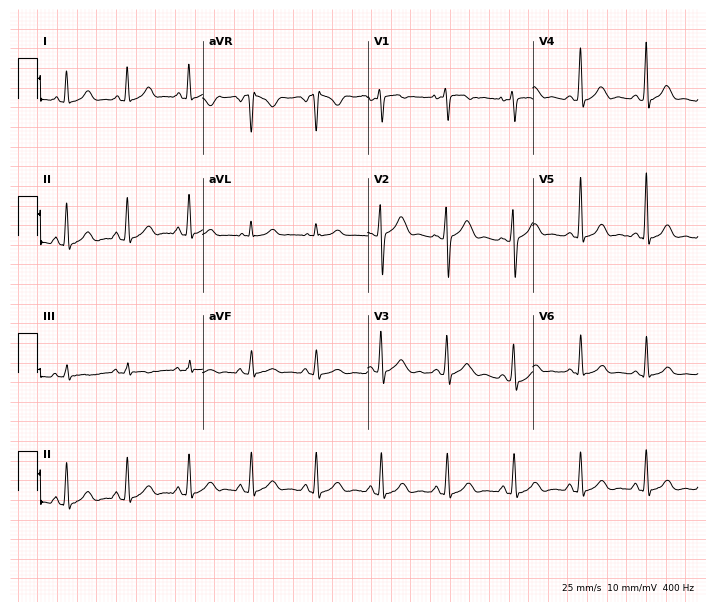
Electrocardiogram, a 32-year-old woman. Overall reading on record: normal ECG.